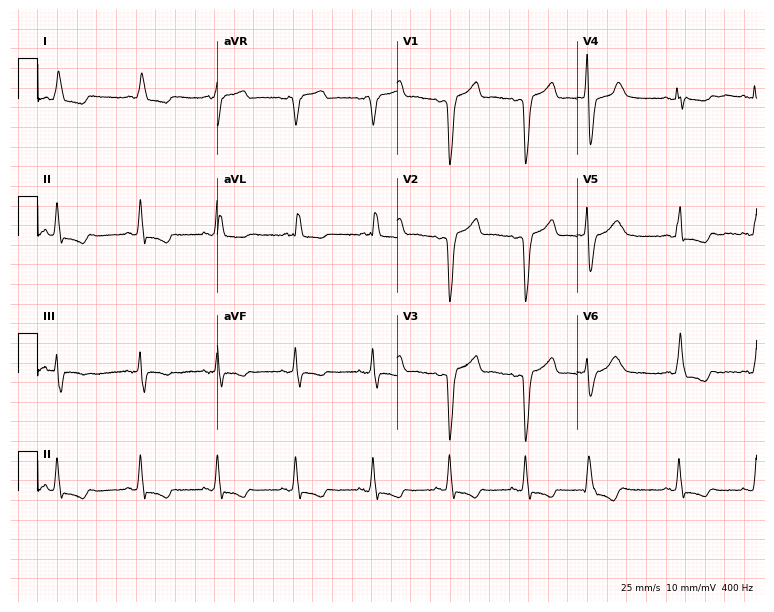
ECG (7.3-second recording at 400 Hz) — a female patient, 82 years old. Screened for six findings — first-degree AV block, right bundle branch block (RBBB), left bundle branch block (LBBB), sinus bradycardia, atrial fibrillation (AF), sinus tachycardia — none is recorded.